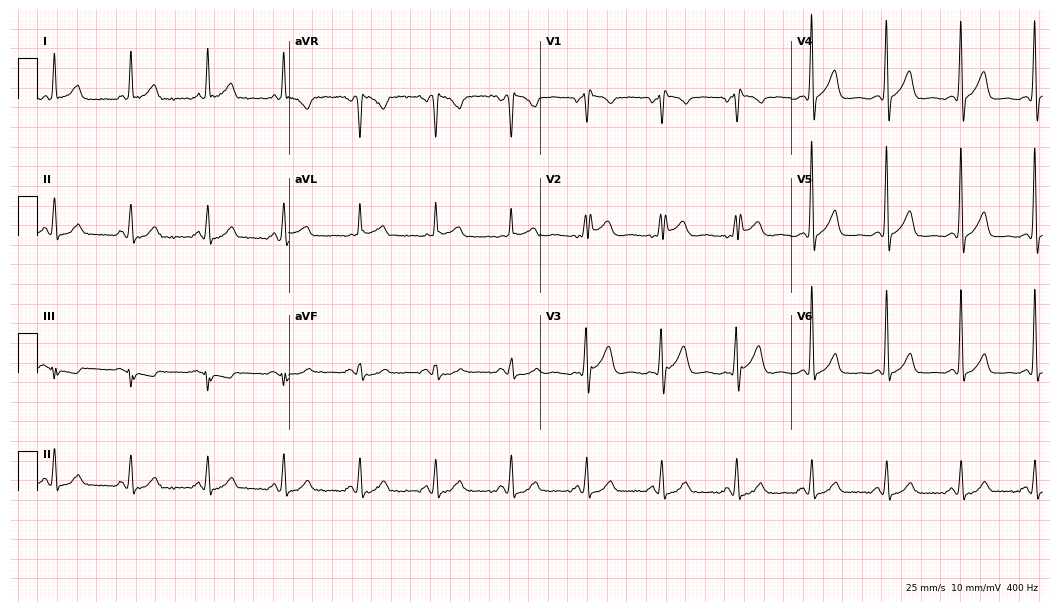
Standard 12-lead ECG recorded from a 71-year-old man. None of these six findings is recorded: first-degree AV block, right bundle branch block (RBBB), left bundle branch block (LBBB), sinus bradycardia, atrial fibrillation (AF), sinus tachycardia. Only these six findings were labelled.